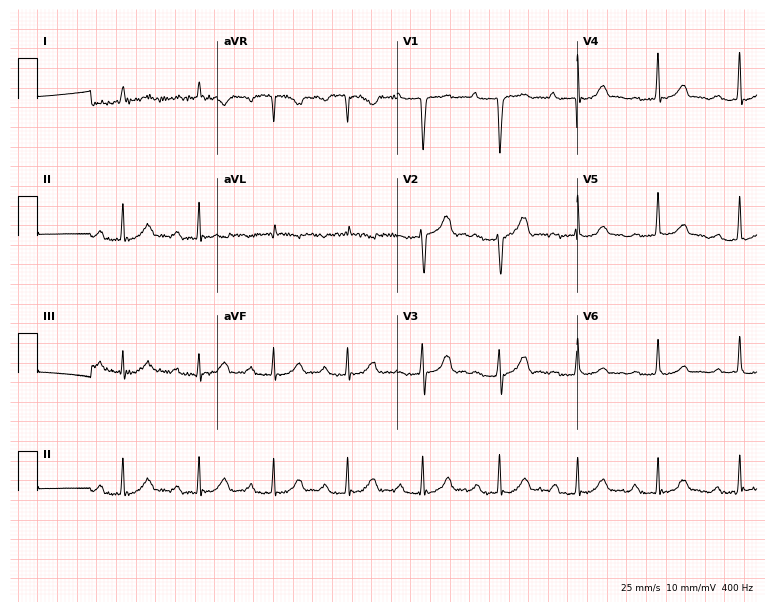
Electrocardiogram (7.3-second recording at 400 Hz), a male patient, 72 years old. Of the six screened findings (first-degree AV block, right bundle branch block, left bundle branch block, sinus bradycardia, atrial fibrillation, sinus tachycardia), none is recorded.